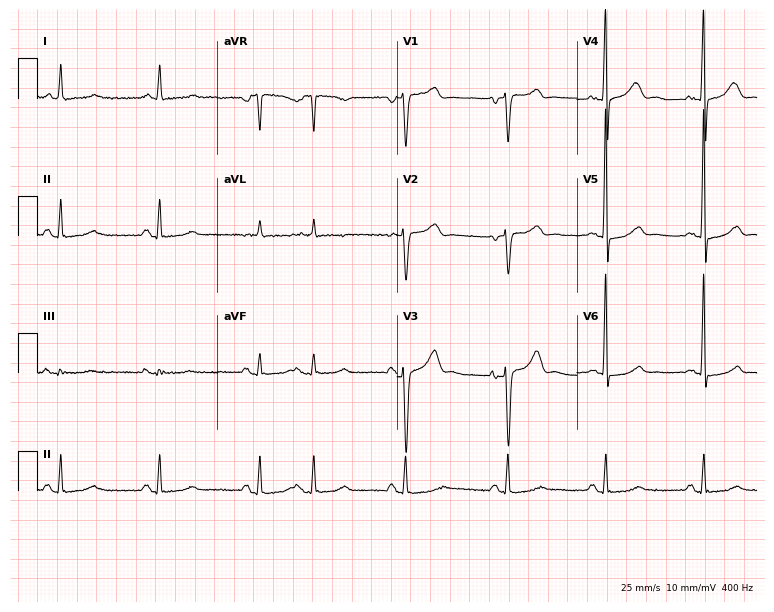
12-lead ECG from a 63-year-old man. No first-degree AV block, right bundle branch block, left bundle branch block, sinus bradycardia, atrial fibrillation or sinus tachycardia recorded for this tracing.